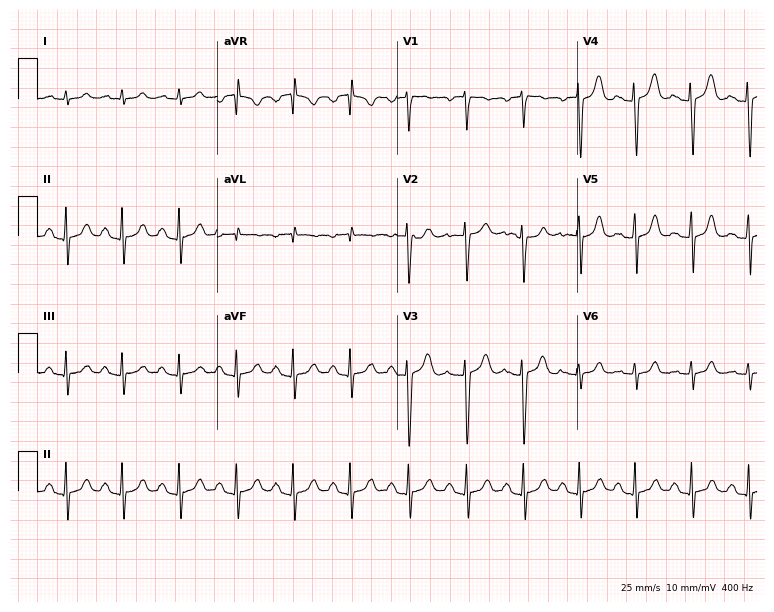
12-lead ECG from a 36-year-old woman (7.3-second recording at 400 Hz). Shows sinus tachycardia (a sinus rate of 100 beats per minute or more).